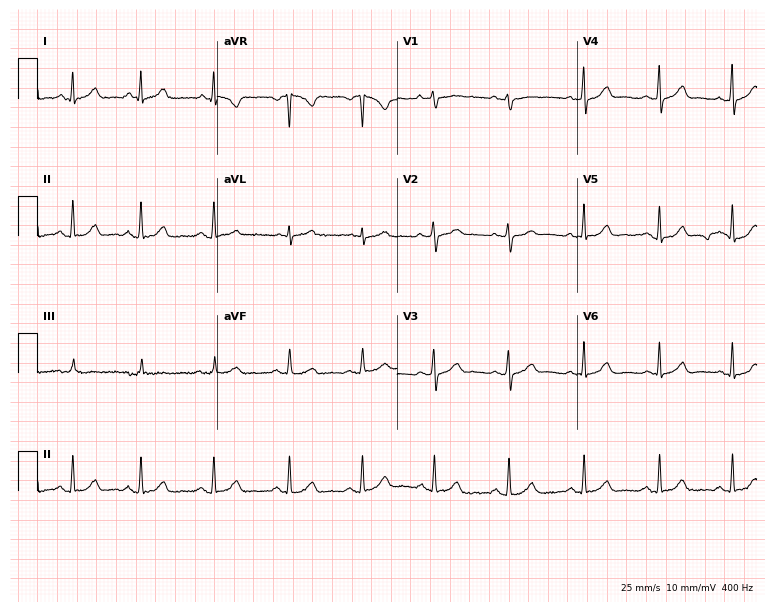
Electrocardiogram, a female patient, 28 years old. Of the six screened findings (first-degree AV block, right bundle branch block, left bundle branch block, sinus bradycardia, atrial fibrillation, sinus tachycardia), none is recorded.